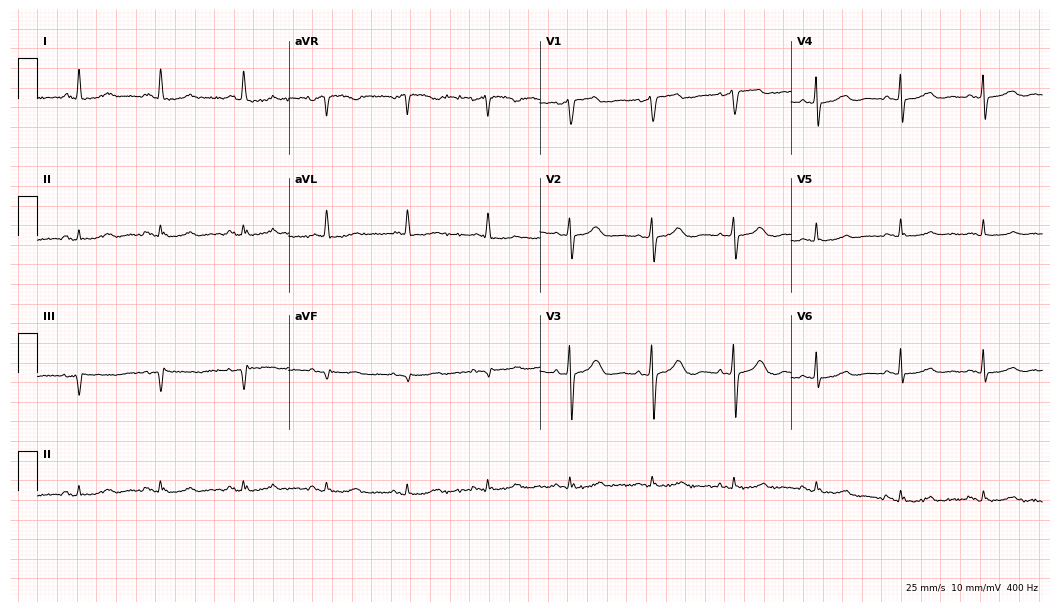
Electrocardiogram, a male patient, 67 years old. Of the six screened findings (first-degree AV block, right bundle branch block, left bundle branch block, sinus bradycardia, atrial fibrillation, sinus tachycardia), none is recorded. Only these six findings were labelled.